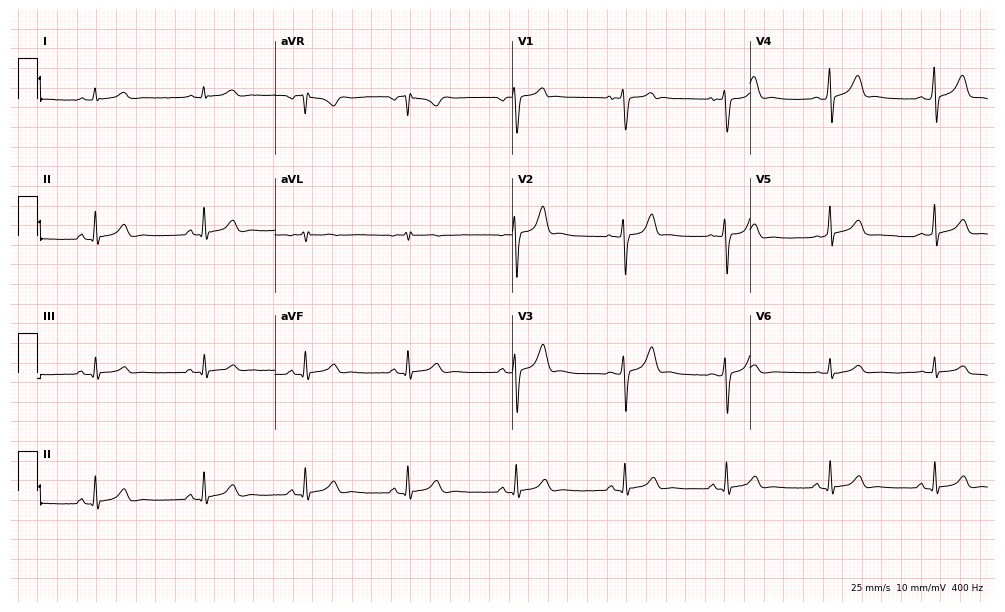
12-lead ECG from a 30-year-old male. Labelled as a normal ECG.